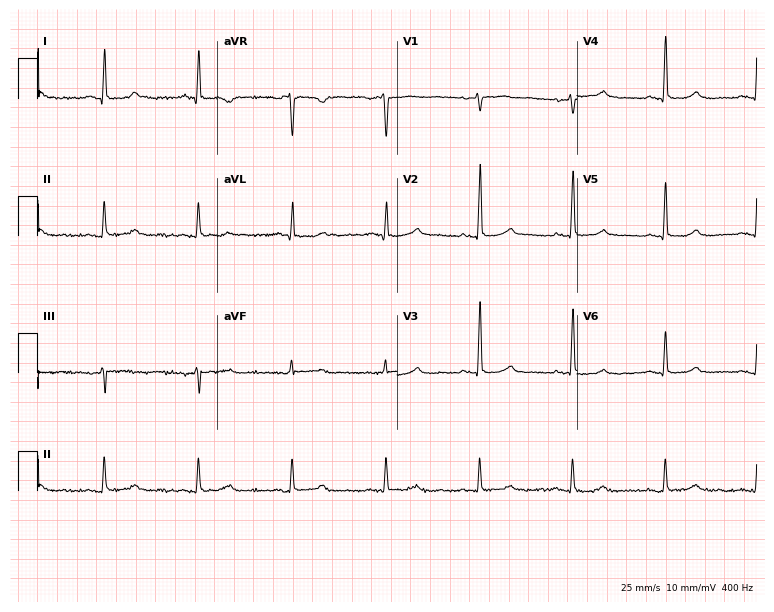
12-lead ECG (7.3-second recording at 400 Hz) from a female patient, 81 years old. Labelled as a normal ECG.